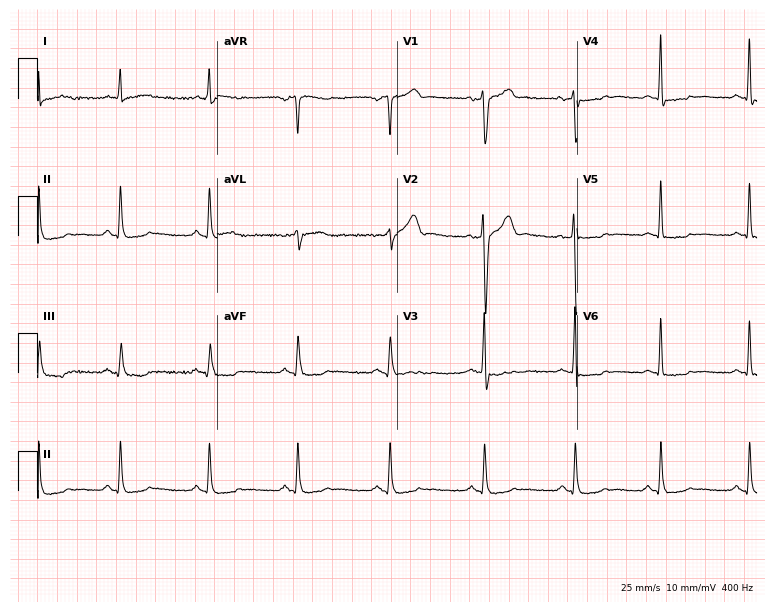
Standard 12-lead ECG recorded from a 58-year-old male (7.3-second recording at 400 Hz). None of these six findings is recorded: first-degree AV block, right bundle branch block (RBBB), left bundle branch block (LBBB), sinus bradycardia, atrial fibrillation (AF), sinus tachycardia. Only these six findings were labelled.